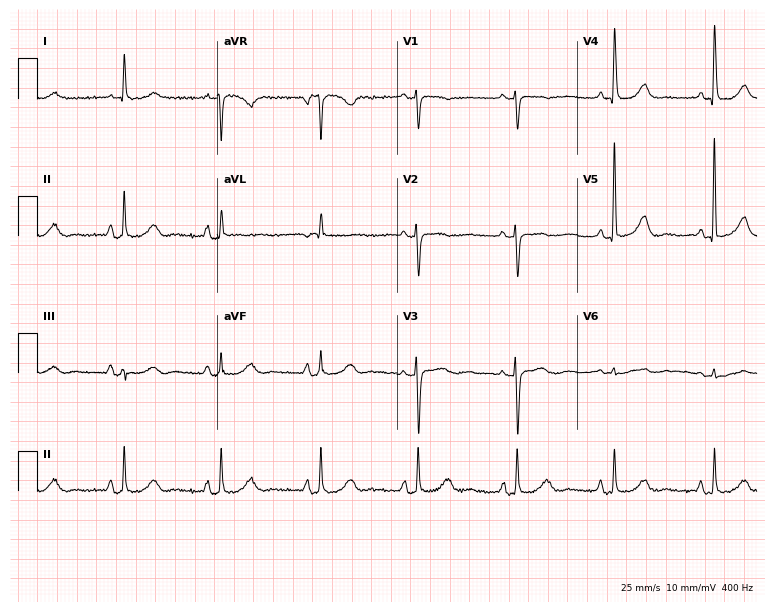
Electrocardiogram, a woman, 80 years old. Of the six screened findings (first-degree AV block, right bundle branch block, left bundle branch block, sinus bradycardia, atrial fibrillation, sinus tachycardia), none is recorded. Findings outside these six are not listed.